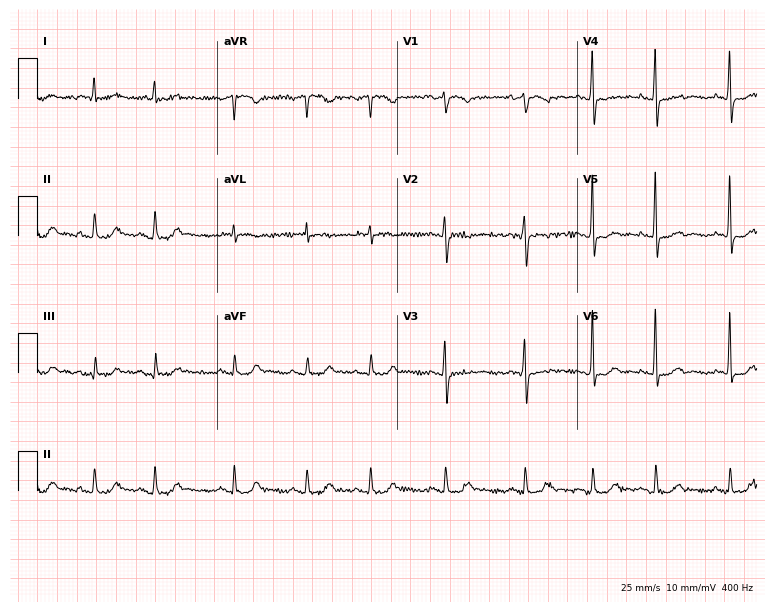
Standard 12-lead ECG recorded from a female, 84 years old (7.3-second recording at 400 Hz). None of these six findings is recorded: first-degree AV block, right bundle branch block (RBBB), left bundle branch block (LBBB), sinus bradycardia, atrial fibrillation (AF), sinus tachycardia. Other findings, if any, are not listed.